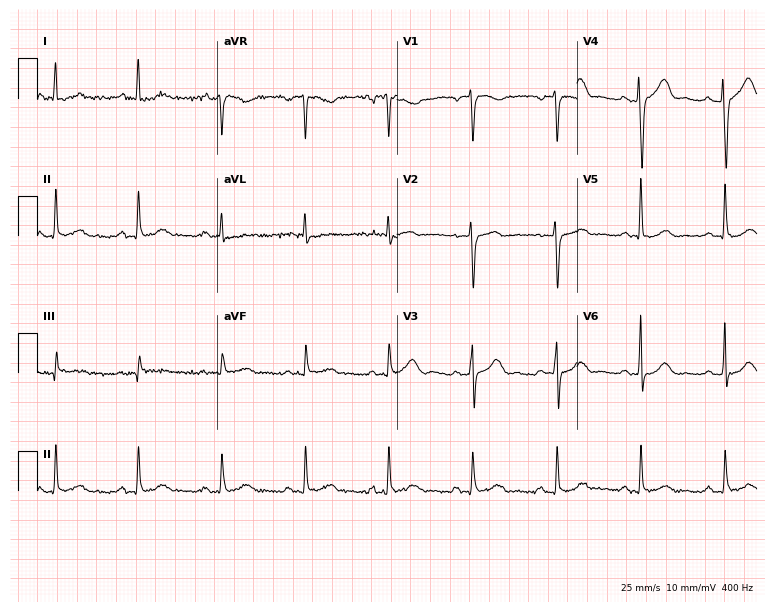
12-lead ECG from a man, 54 years old. Recorded interpretation: within normal limits.